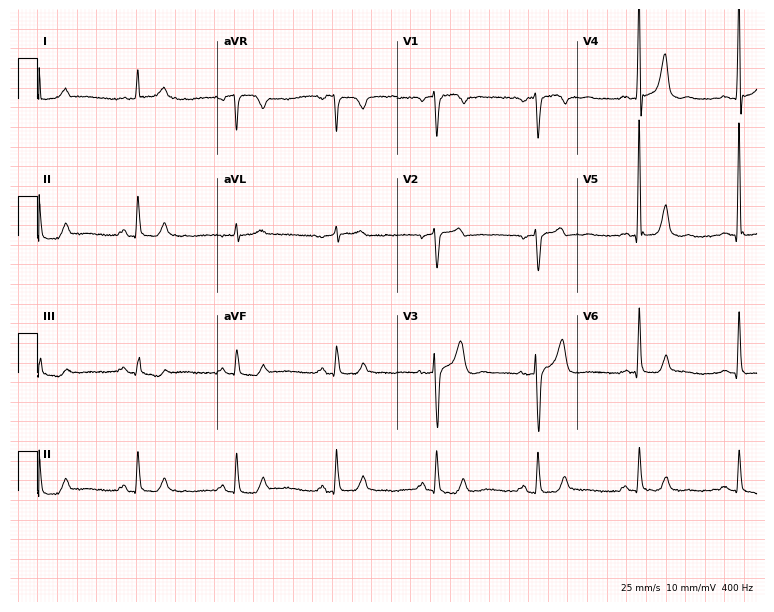
Resting 12-lead electrocardiogram. Patient: a 62-year-old male. Read as a normal ECG.